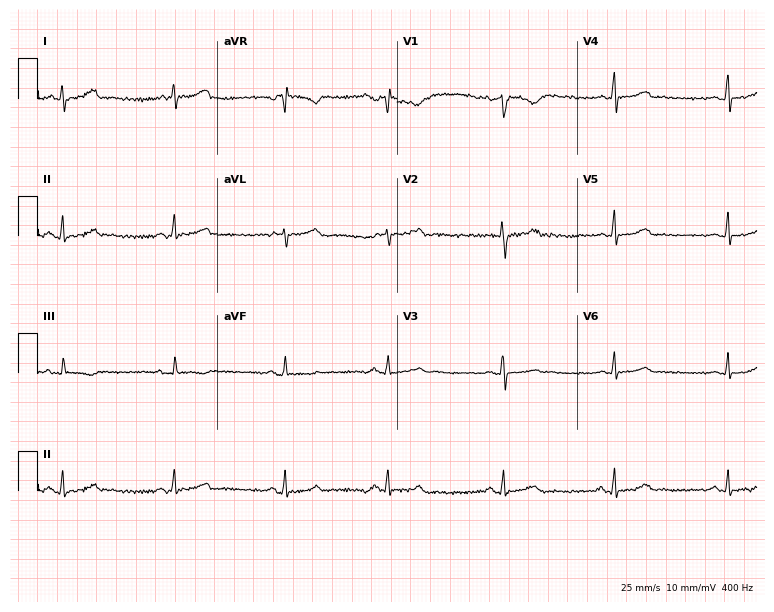
12-lead ECG from a 31-year-old woman. Screened for six findings — first-degree AV block, right bundle branch block, left bundle branch block, sinus bradycardia, atrial fibrillation, sinus tachycardia — none is recorded. Other findings, if any, are not listed.